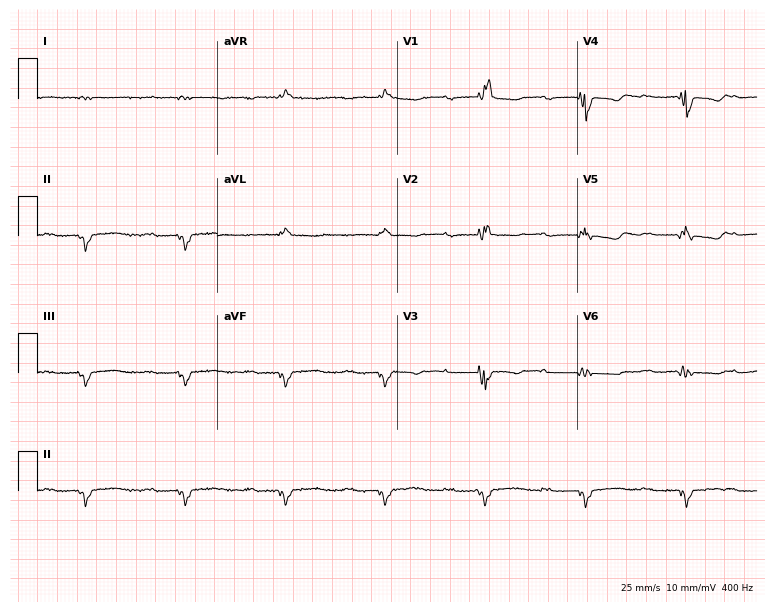
12-lead ECG from a 71-year-old man. Findings include first-degree AV block, right bundle branch block.